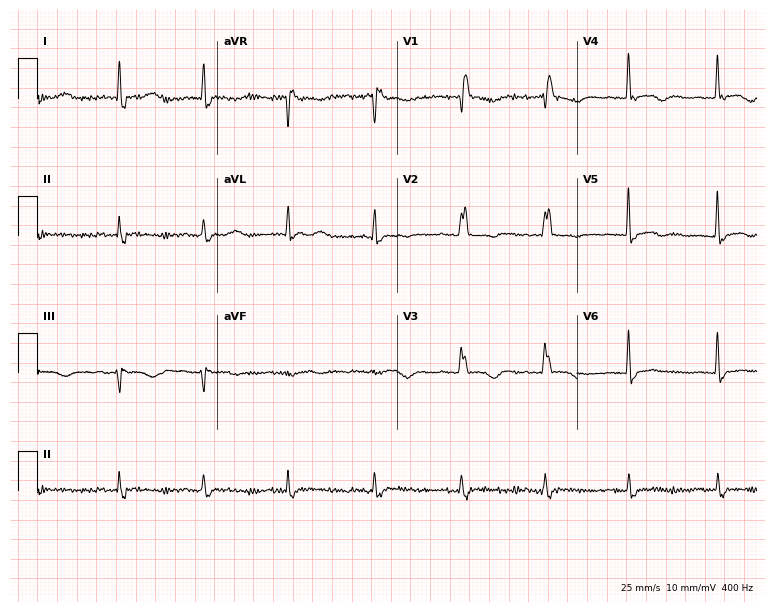
12-lead ECG from a female patient, 73 years old (7.3-second recording at 400 Hz). Shows right bundle branch block (RBBB).